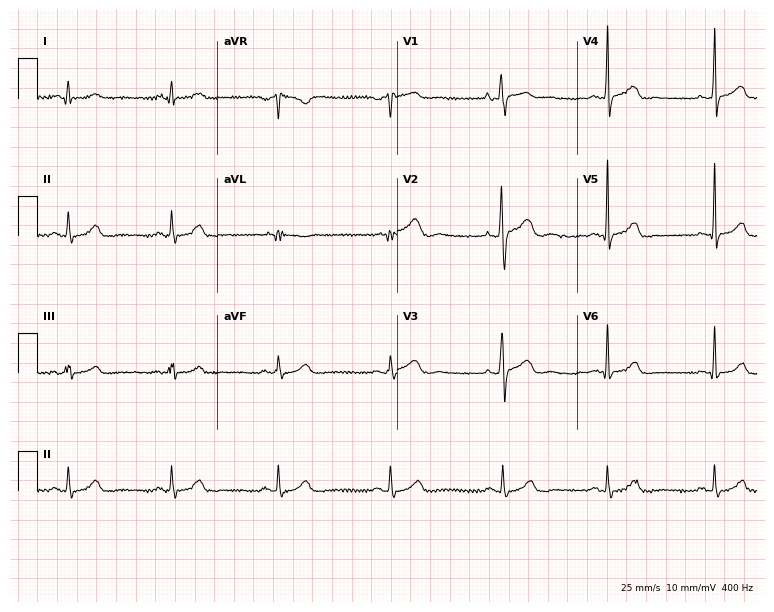
Electrocardiogram, a woman, 18 years old. Of the six screened findings (first-degree AV block, right bundle branch block, left bundle branch block, sinus bradycardia, atrial fibrillation, sinus tachycardia), none is recorded.